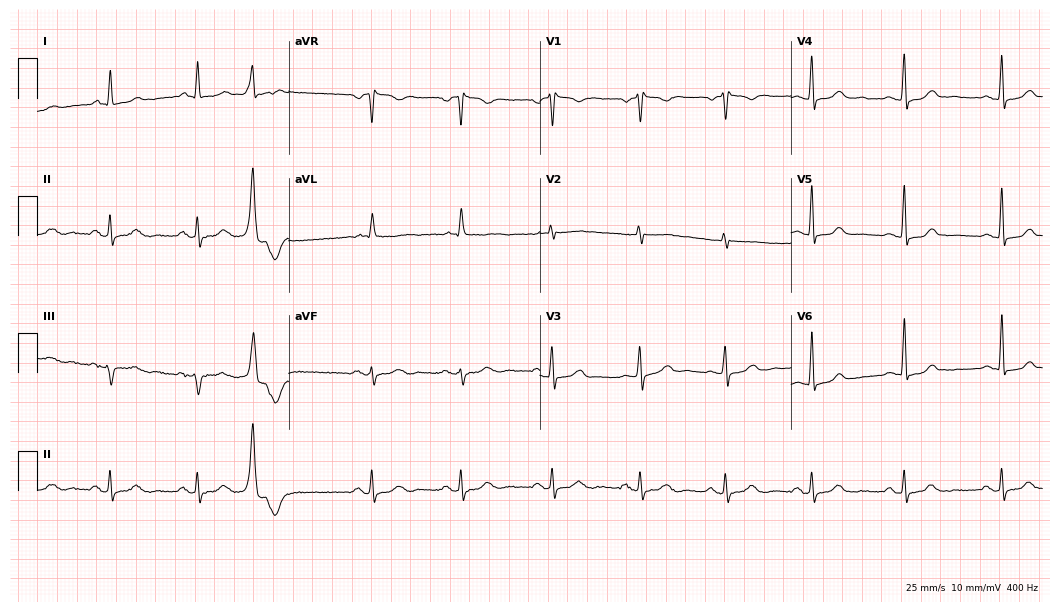
ECG (10.2-second recording at 400 Hz) — a woman, 66 years old. Screened for six findings — first-degree AV block, right bundle branch block (RBBB), left bundle branch block (LBBB), sinus bradycardia, atrial fibrillation (AF), sinus tachycardia — none is recorded.